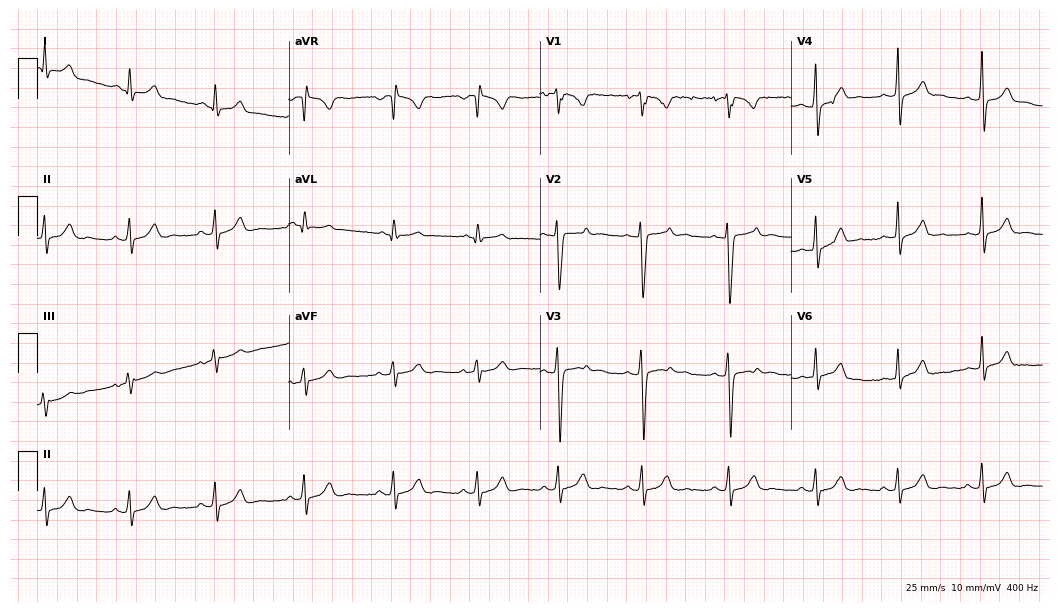
Electrocardiogram (10.2-second recording at 400 Hz), a 25-year-old female patient. Overall reading on record: normal ECG.